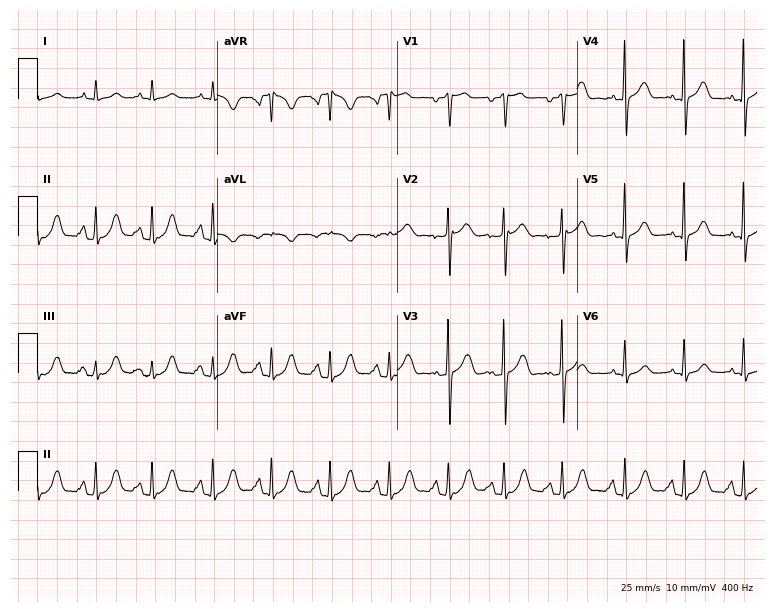
Standard 12-lead ECG recorded from a man, 85 years old. None of these six findings is recorded: first-degree AV block, right bundle branch block (RBBB), left bundle branch block (LBBB), sinus bradycardia, atrial fibrillation (AF), sinus tachycardia.